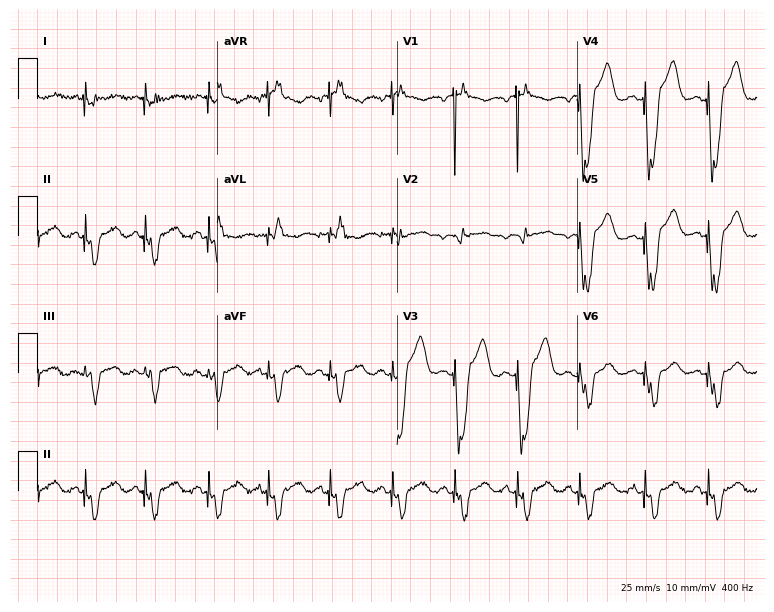
12-lead ECG from a 59-year-old woman. No first-degree AV block, right bundle branch block (RBBB), left bundle branch block (LBBB), sinus bradycardia, atrial fibrillation (AF) or sinus tachycardia recorded for this tracing.